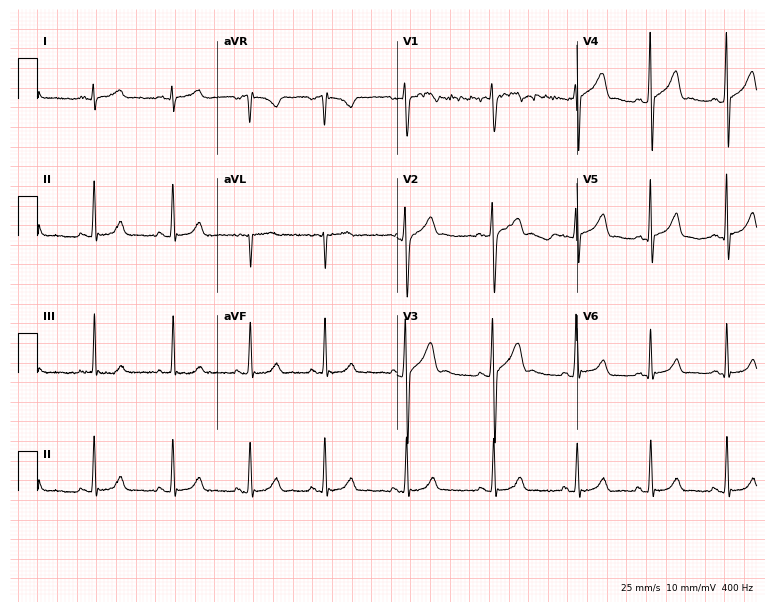
Standard 12-lead ECG recorded from a man, 20 years old (7.3-second recording at 400 Hz). None of these six findings is recorded: first-degree AV block, right bundle branch block (RBBB), left bundle branch block (LBBB), sinus bradycardia, atrial fibrillation (AF), sinus tachycardia. Other findings, if any, are not listed.